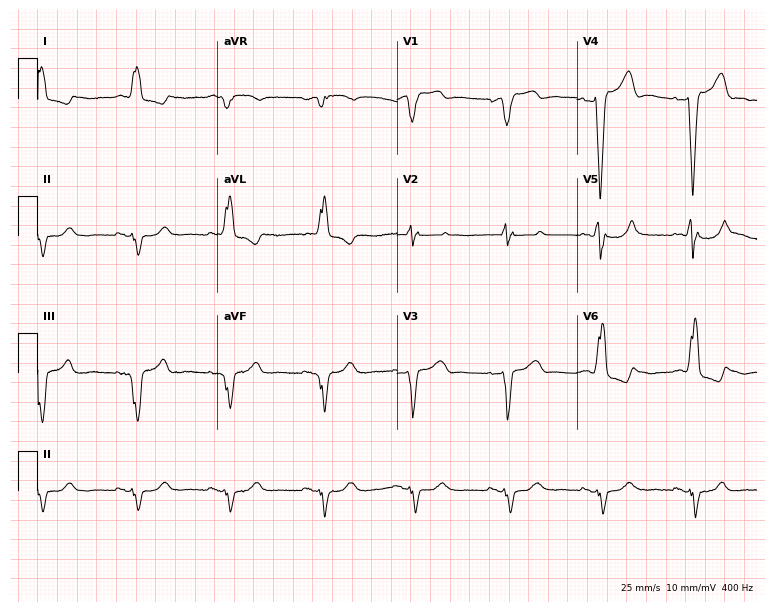
ECG — an 81-year-old man. Findings include left bundle branch block.